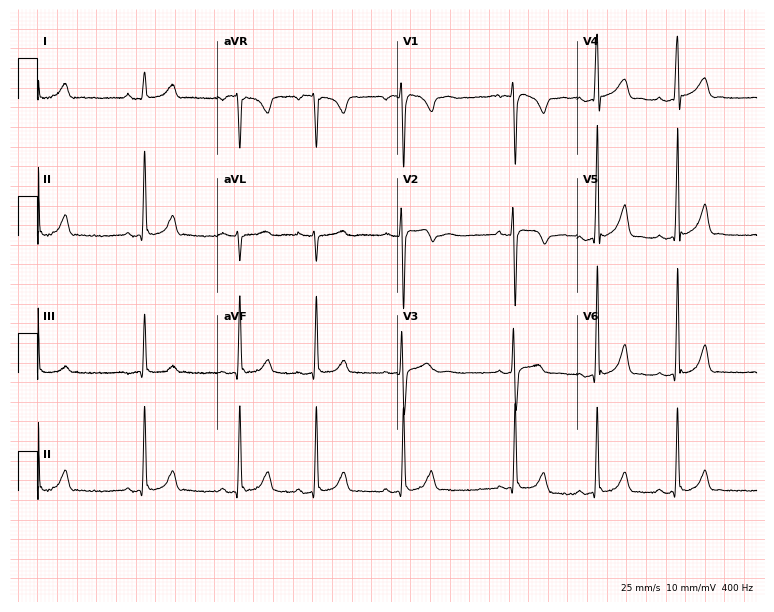
Standard 12-lead ECG recorded from a man, 18 years old (7.3-second recording at 400 Hz). None of these six findings is recorded: first-degree AV block, right bundle branch block (RBBB), left bundle branch block (LBBB), sinus bradycardia, atrial fibrillation (AF), sinus tachycardia.